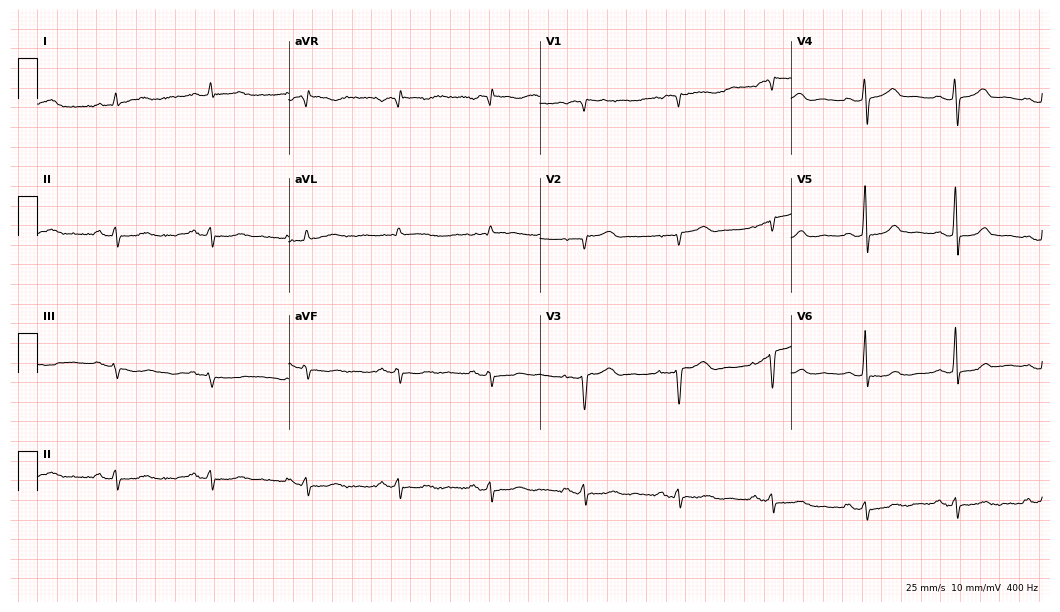
12-lead ECG from a 59-year-old woman. No first-degree AV block, right bundle branch block, left bundle branch block, sinus bradycardia, atrial fibrillation or sinus tachycardia recorded for this tracing. Only these six findings were labelled.